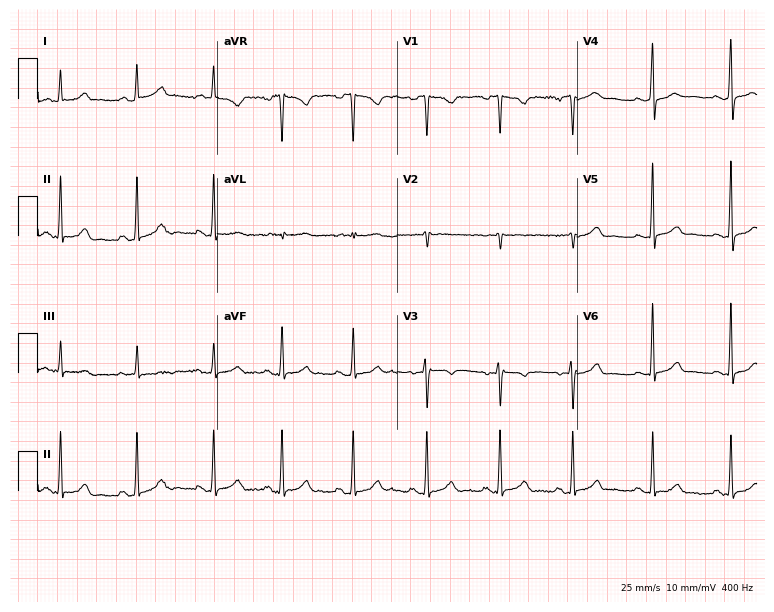
Standard 12-lead ECG recorded from a woman, 27 years old (7.3-second recording at 400 Hz). Read as a normal ECG.